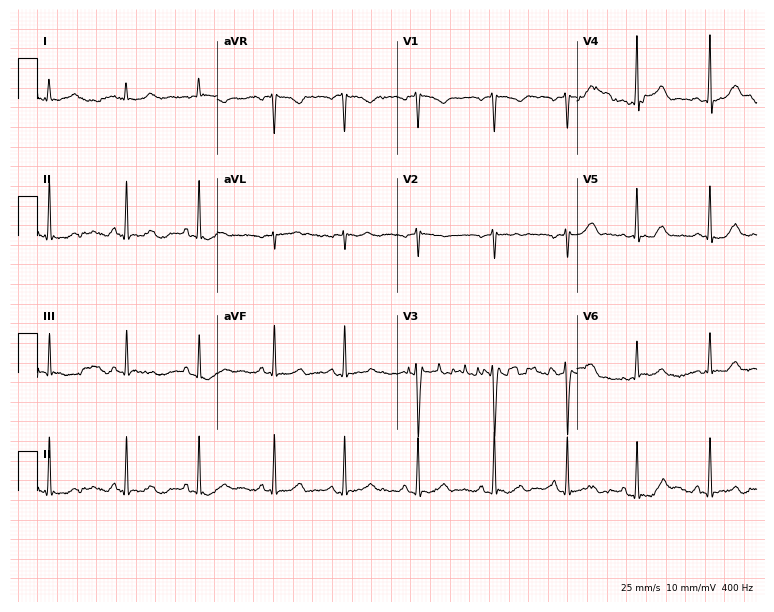
Resting 12-lead electrocardiogram. Patient: a female, 20 years old. Read as a normal ECG.